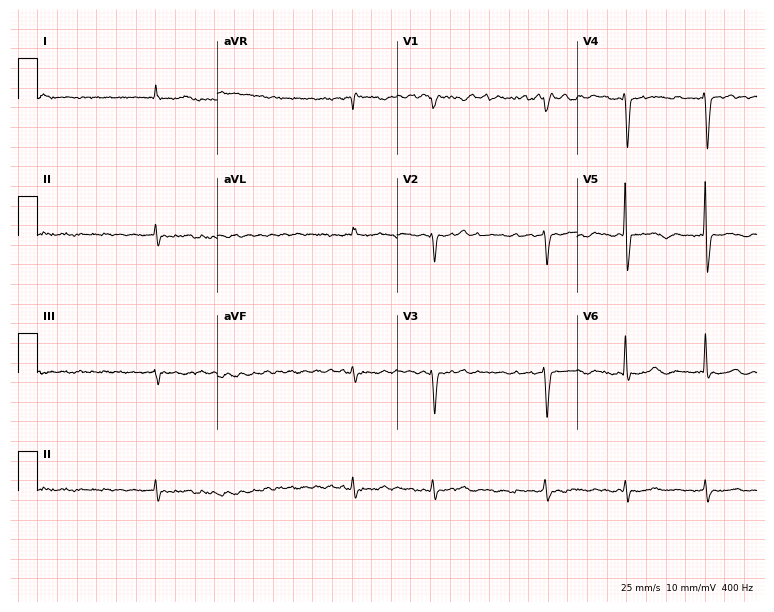
12-lead ECG from a female patient, 84 years old. Findings include atrial fibrillation.